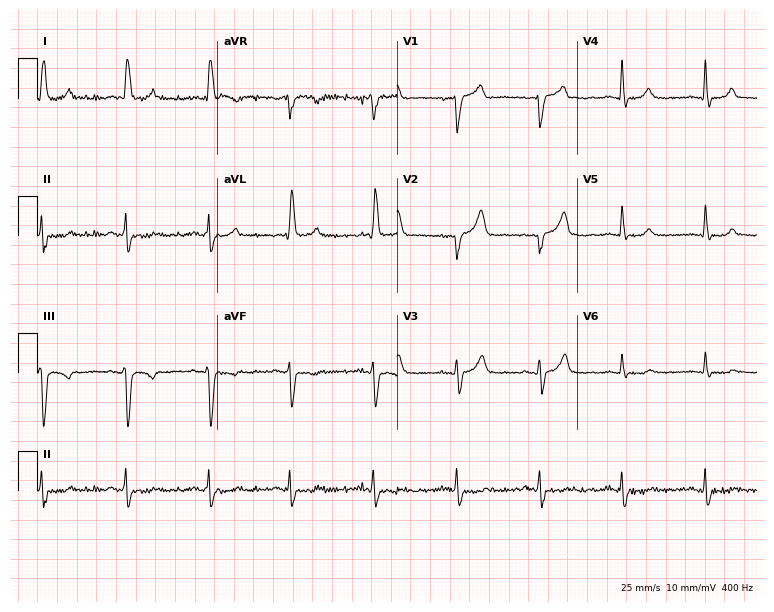
12-lead ECG from an 82-year-old woman (7.3-second recording at 400 Hz). Recorded interpretation: within normal limits.